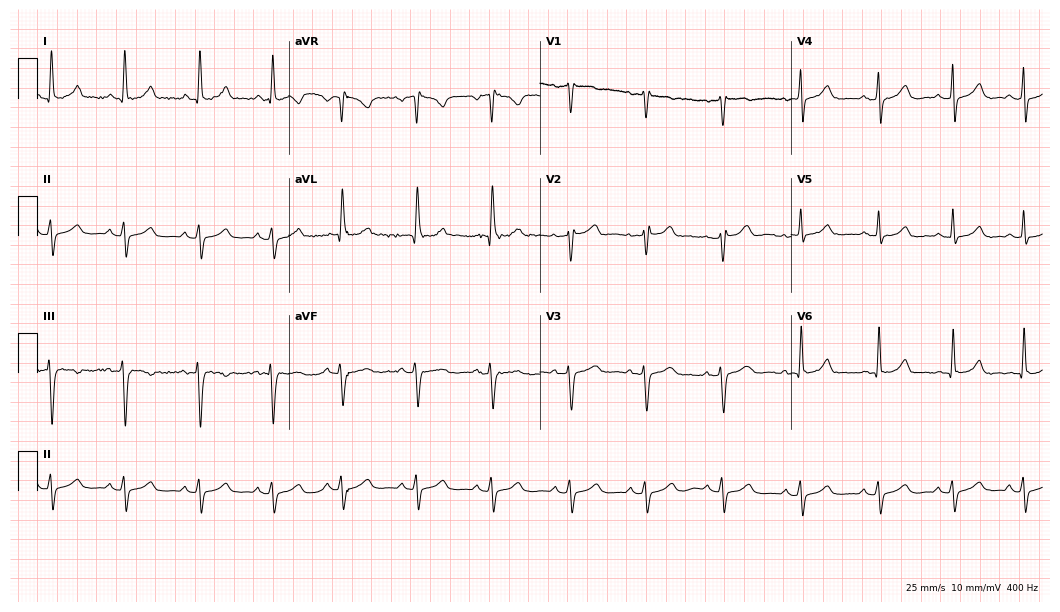
Electrocardiogram, a 54-year-old female. Of the six screened findings (first-degree AV block, right bundle branch block, left bundle branch block, sinus bradycardia, atrial fibrillation, sinus tachycardia), none is recorded.